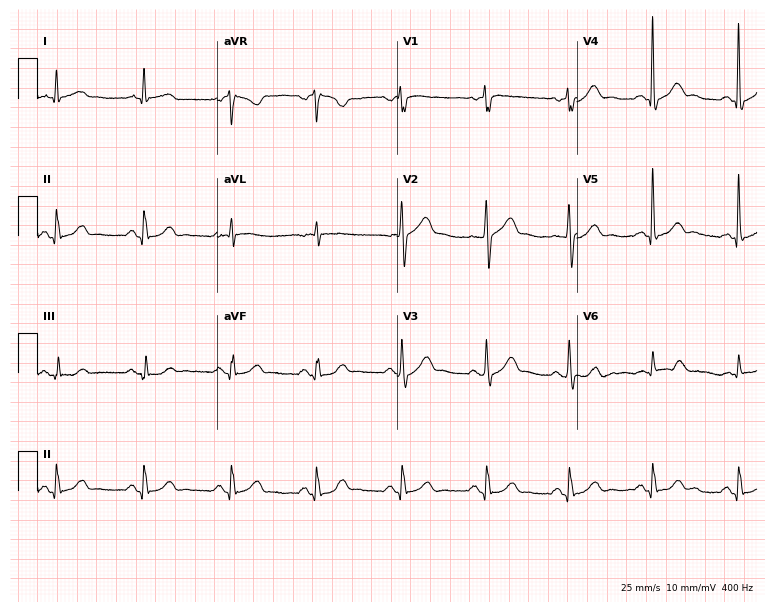
Electrocardiogram (7.3-second recording at 400 Hz), a 60-year-old man. Overall reading on record: normal ECG.